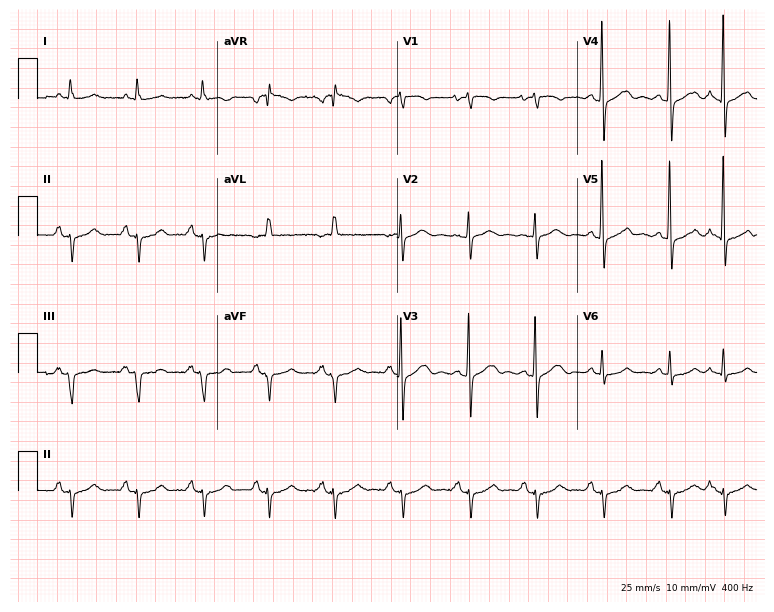
12-lead ECG from a male, 82 years old. No first-degree AV block, right bundle branch block, left bundle branch block, sinus bradycardia, atrial fibrillation or sinus tachycardia recorded for this tracing. Findings outside these six are not listed.